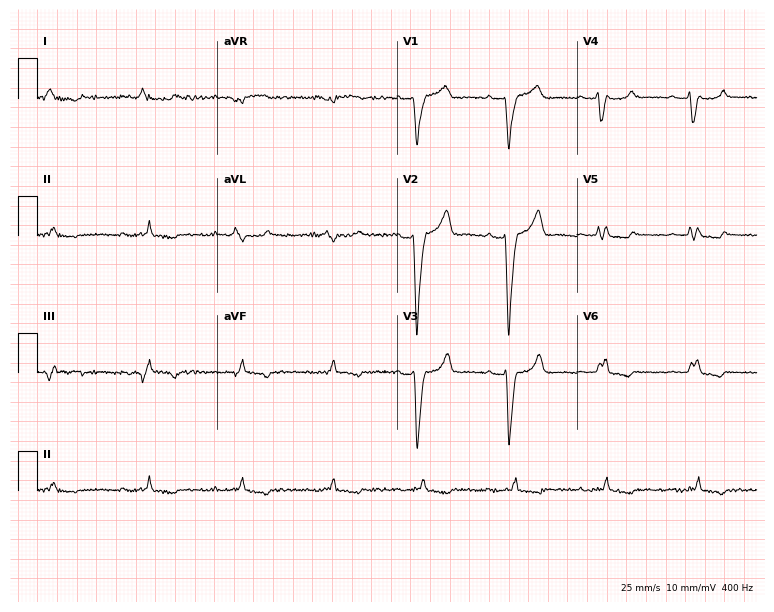
12-lead ECG from an 83-year-old male. Screened for six findings — first-degree AV block, right bundle branch block, left bundle branch block, sinus bradycardia, atrial fibrillation, sinus tachycardia — none is recorded. Other findings, if any, are not listed.